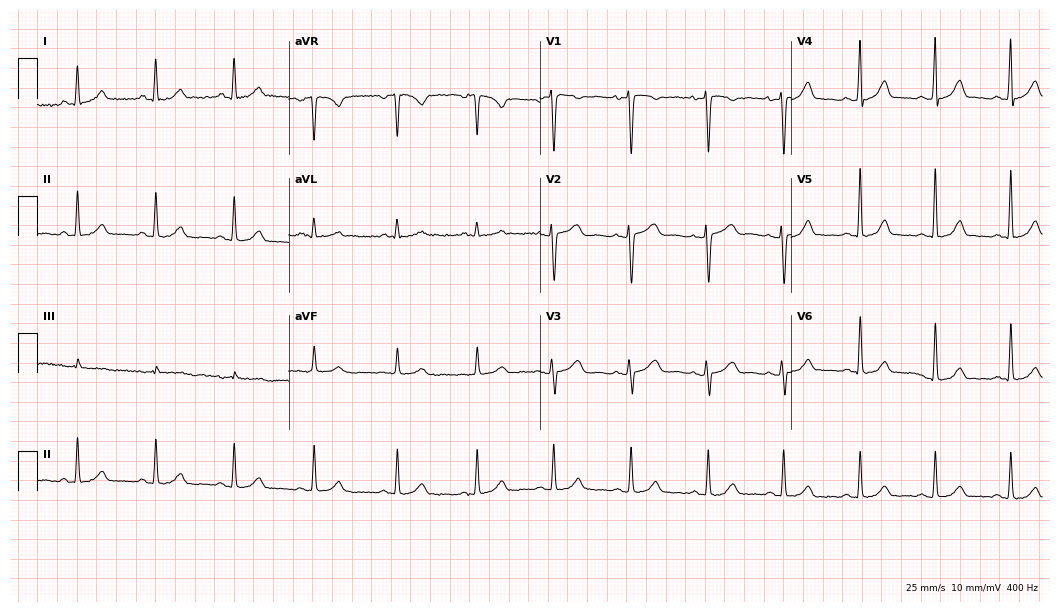
Standard 12-lead ECG recorded from a female, 46 years old (10.2-second recording at 400 Hz). None of these six findings is recorded: first-degree AV block, right bundle branch block (RBBB), left bundle branch block (LBBB), sinus bradycardia, atrial fibrillation (AF), sinus tachycardia. Other findings, if any, are not listed.